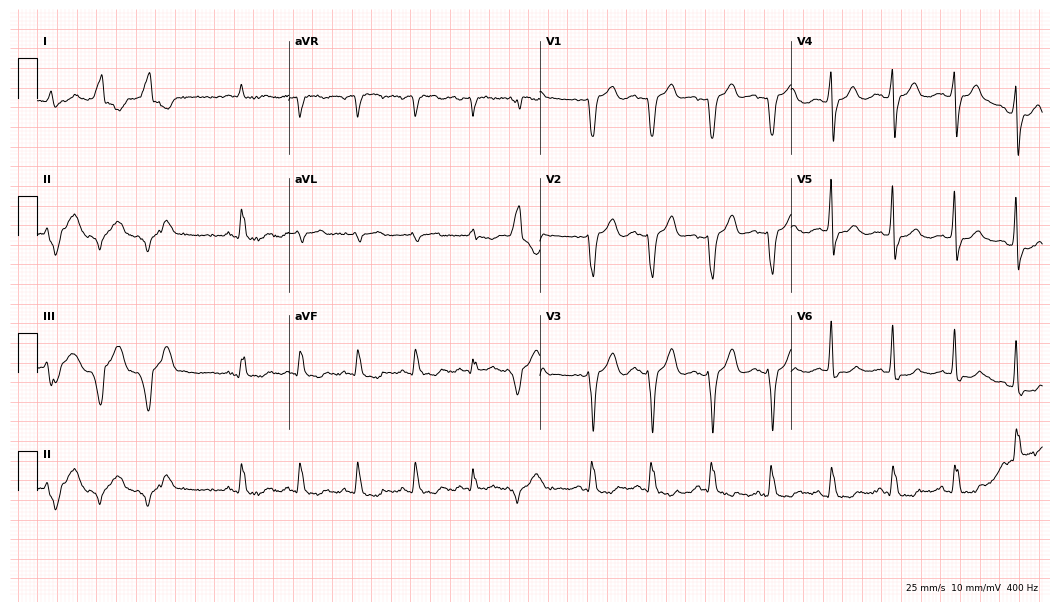
Resting 12-lead electrocardiogram (10.2-second recording at 400 Hz). Patient: a man, 67 years old. None of these six findings is recorded: first-degree AV block, right bundle branch block, left bundle branch block, sinus bradycardia, atrial fibrillation, sinus tachycardia. Other findings, if any, are not listed.